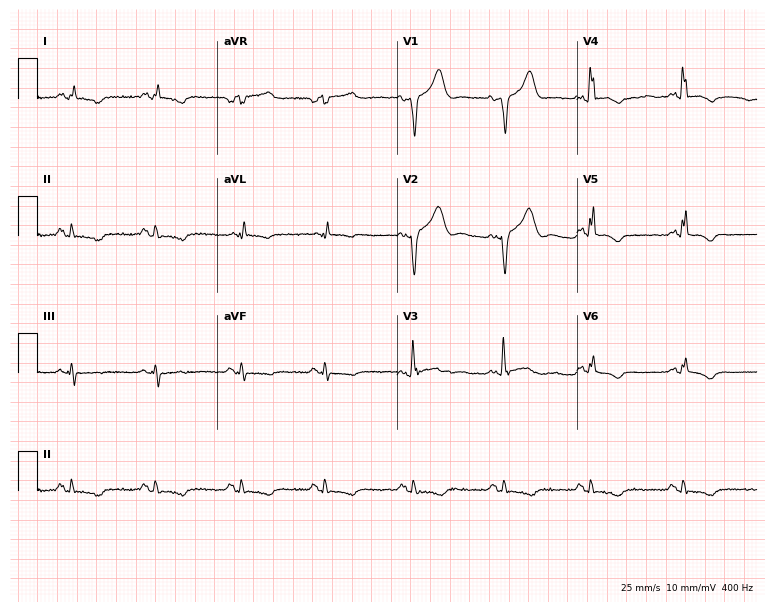
Standard 12-lead ECG recorded from a male patient, 70 years old. None of these six findings is recorded: first-degree AV block, right bundle branch block, left bundle branch block, sinus bradycardia, atrial fibrillation, sinus tachycardia. Only these six findings were labelled.